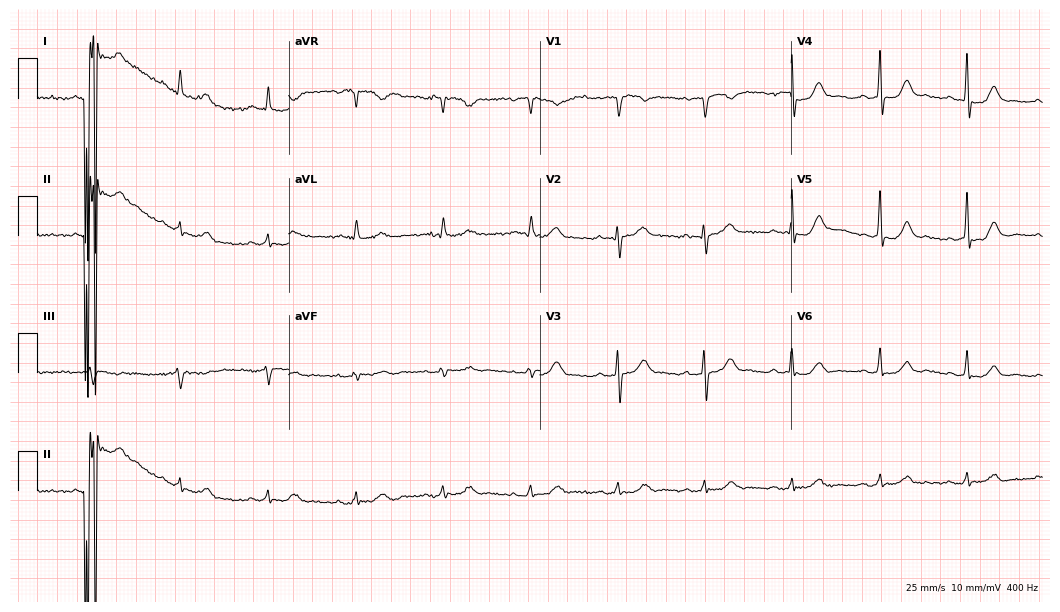
ECG (10.2-second recording at 400 Hz) — a 62-year-old male. Labelled as a normal ECG.